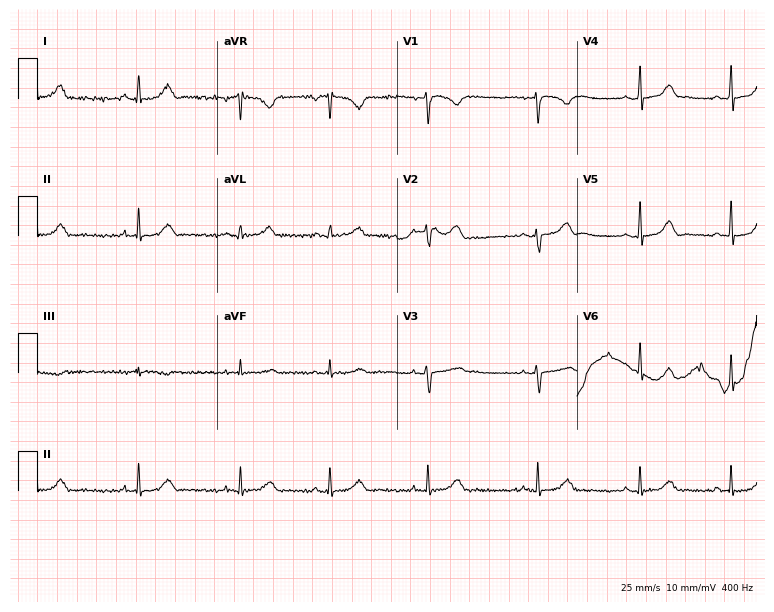
12-lead ECG from a woman, 30 years old. Labelled as a normal ECG.